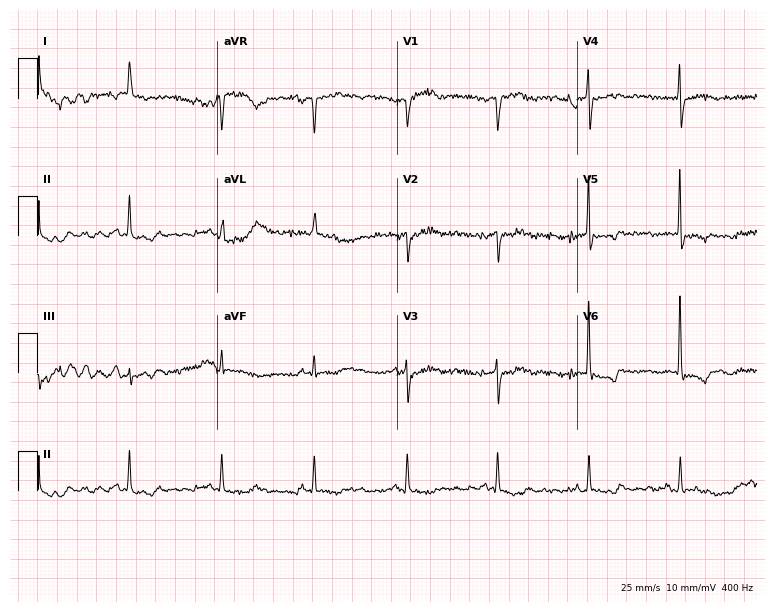
12-lead ECG from a female, 81 years old. No first-degree AV block, right bundle branch block, left bundle branch block, sinus bradycardia, atrial fibrillation or sinus tachycardia recorded for this tracing.